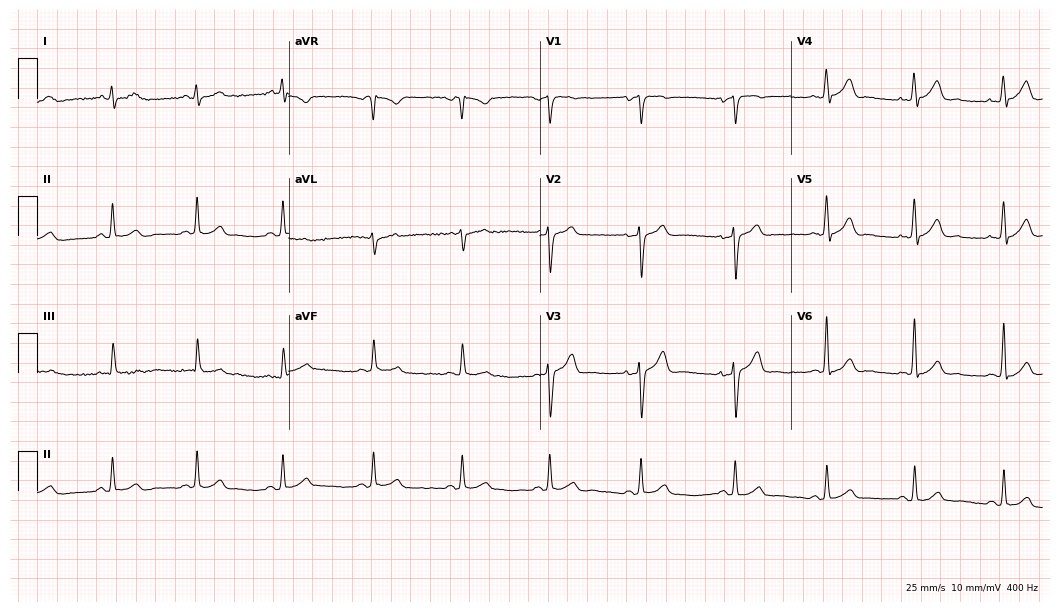
Resting 12-lead electrocardiogram (10.2-second recording at 400 Hz). Patient: a male, 36 years old. Read as a normal ECG.